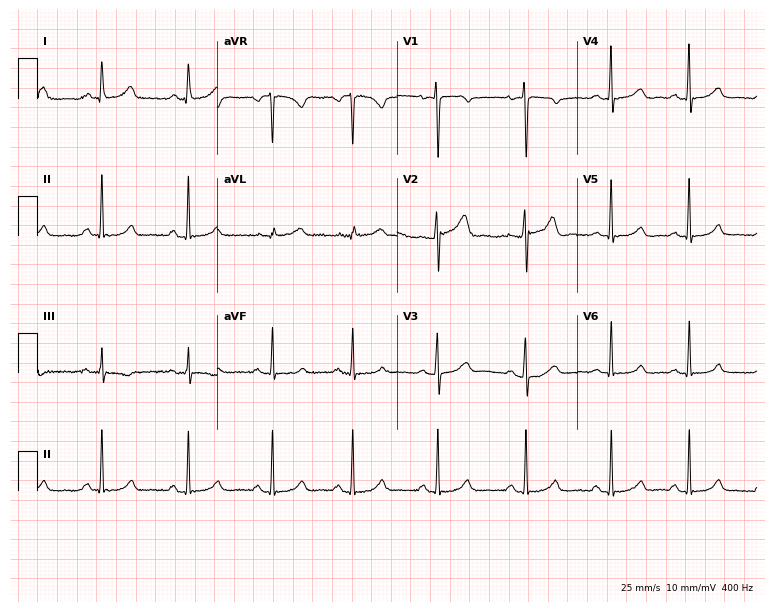
12-lead ECG from a female, 37 years old (7.3-second recording at 400 Hz). Recorded interpretation: within normal limits.